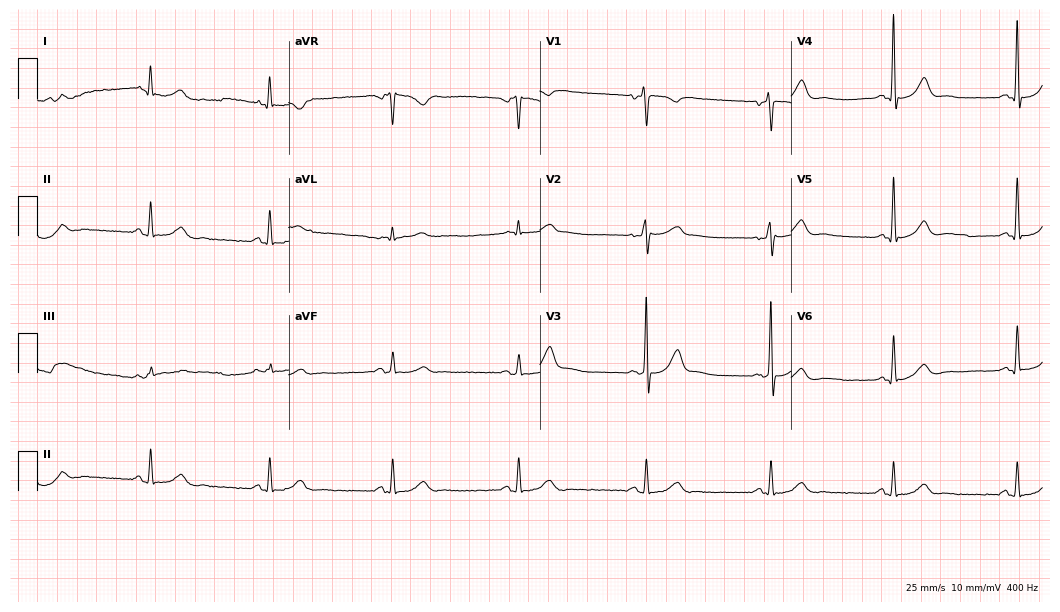
12-lead ECG from a 69-year-old male patient. Findings include sinus bradycardia (a sinus rate of 50 beats per minute or less).